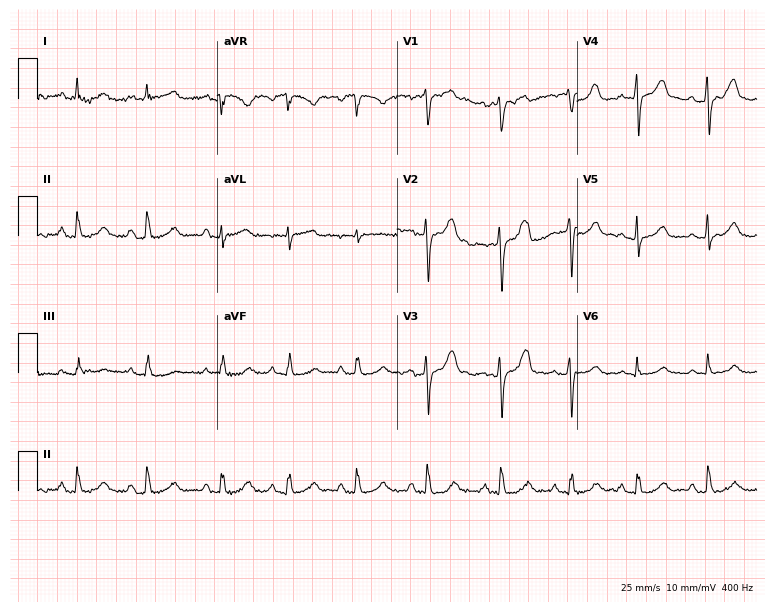
Standard 12-lead ECG recorded from a 32-year-old woman. None of these six findings is recorded: first-degree AV block, right bundle branch block, left bundle branch block, sinus bradycardia, atrial fibrillation, sinus tachycardia.